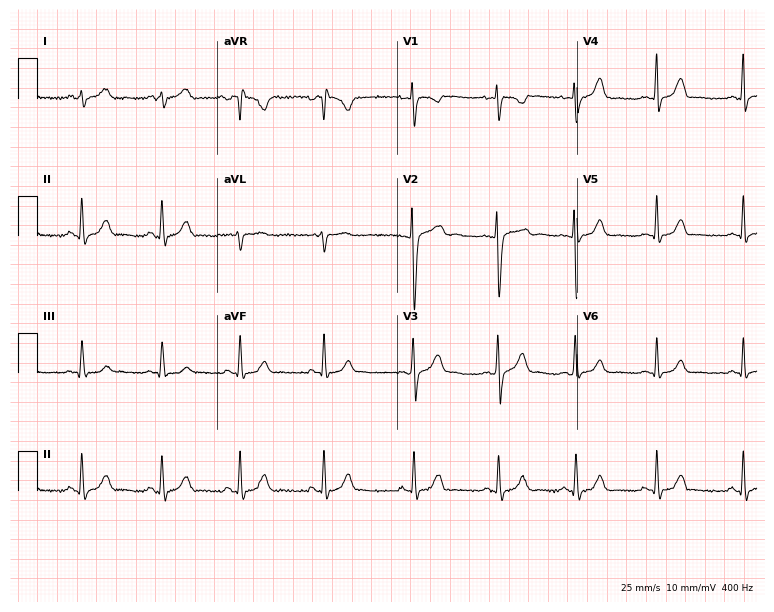
Electrocardiogram, a female, 19 years old. Overall reading on record: normal ECG.